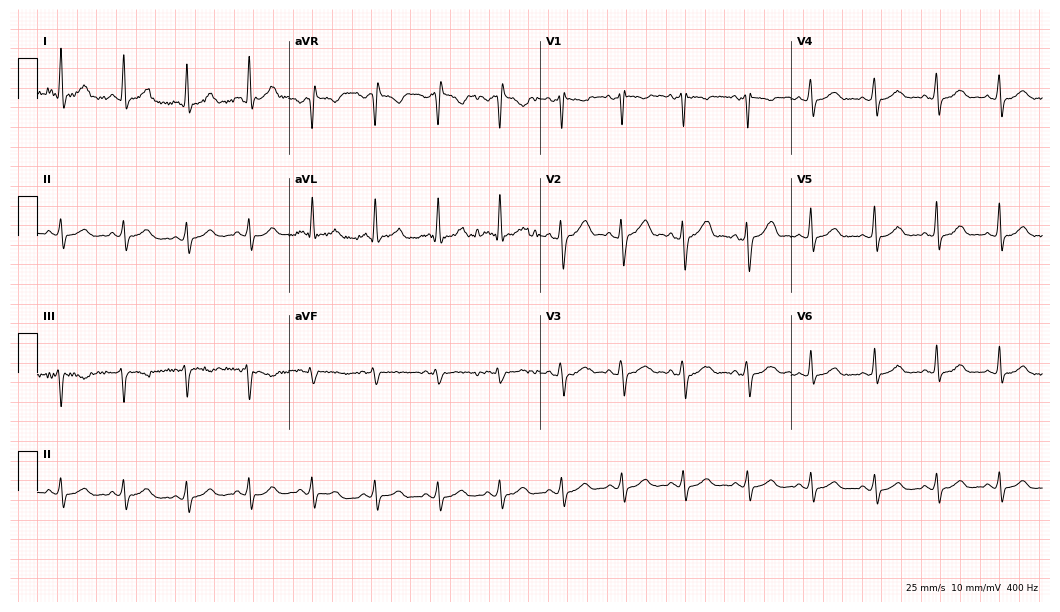
12-lead ECG from a 20-year-old female patient. Labelled as a normal ECG.